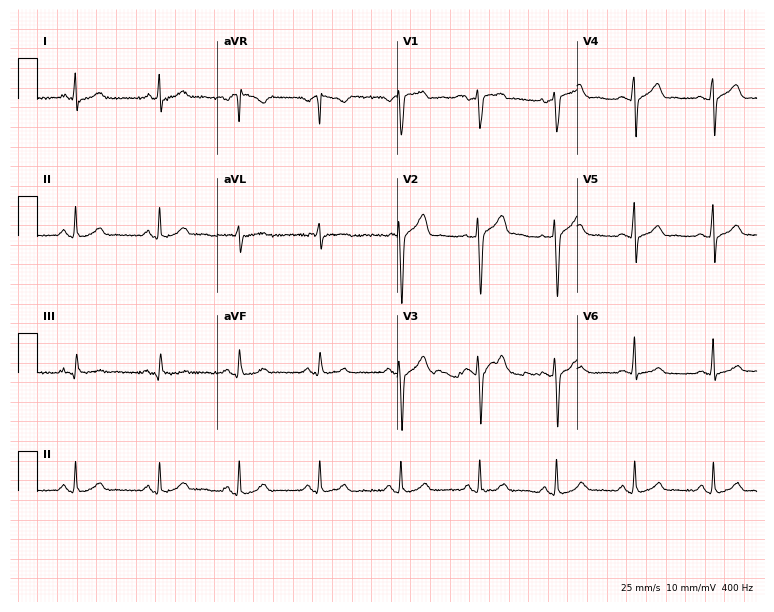
12-lead ECG from a male, 39 years old. Screened for six findings — first-degree AV block, right bundle branch block, left bundle branch block, sinus bradycardia, atrial fibrillation, sinus tachycardia — none is recorded. Findings outside these six are not listed.